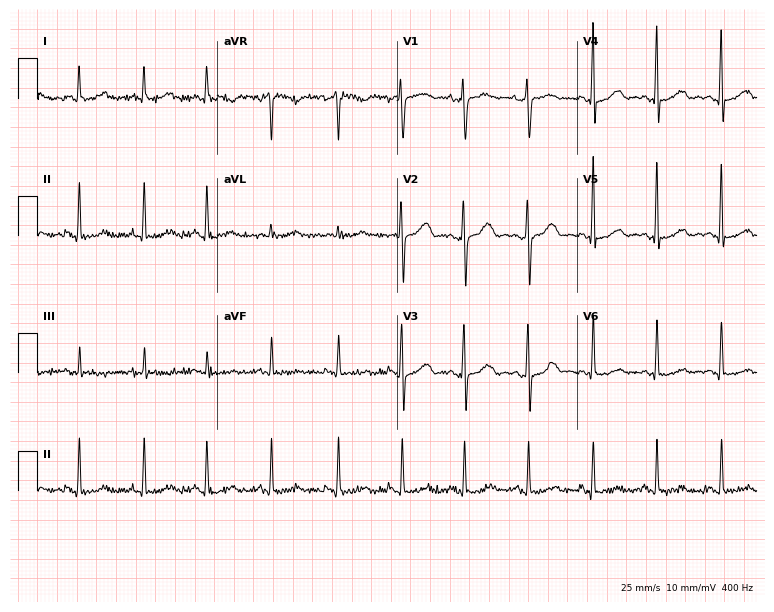
Standard 12-lead ECG recorded from a female patient, 59 years old (7.3-second recording at 400 Hz). Read as a normal ECG.